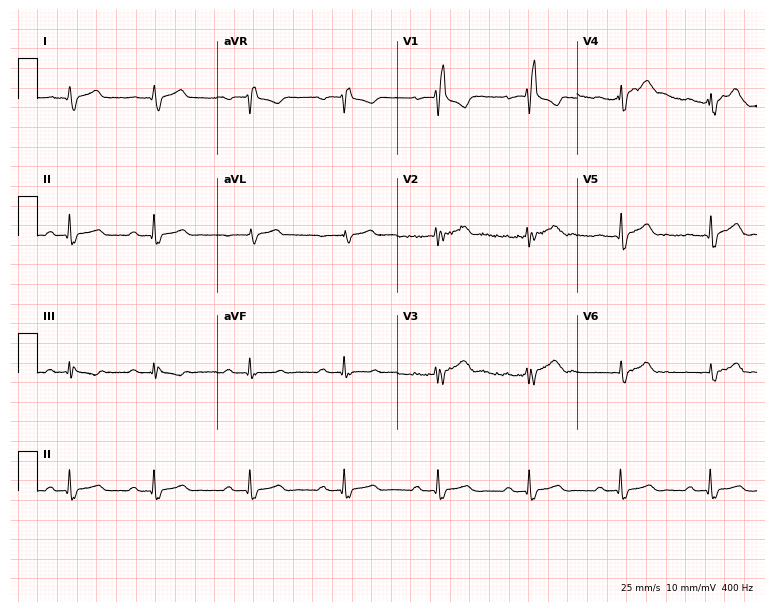
ECG — a 47-year-old man. Findings include right bundle branch block (RBBB).